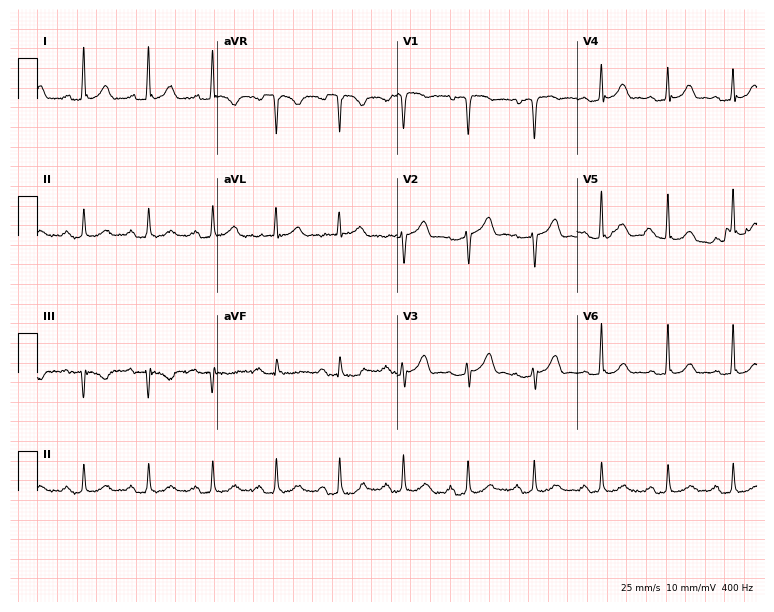
Standard 12-lead ECG recorded from an 82-year-old man. Read as a normal ECG.